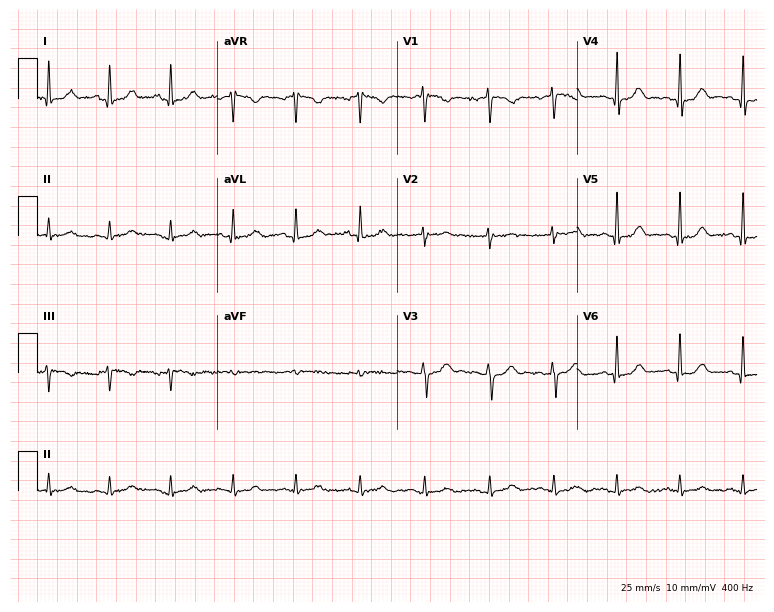
12-lead ECG from a 39-year-old woman (7.3-second recording at 400 Hz). Recorded interpretation: within normal limits.